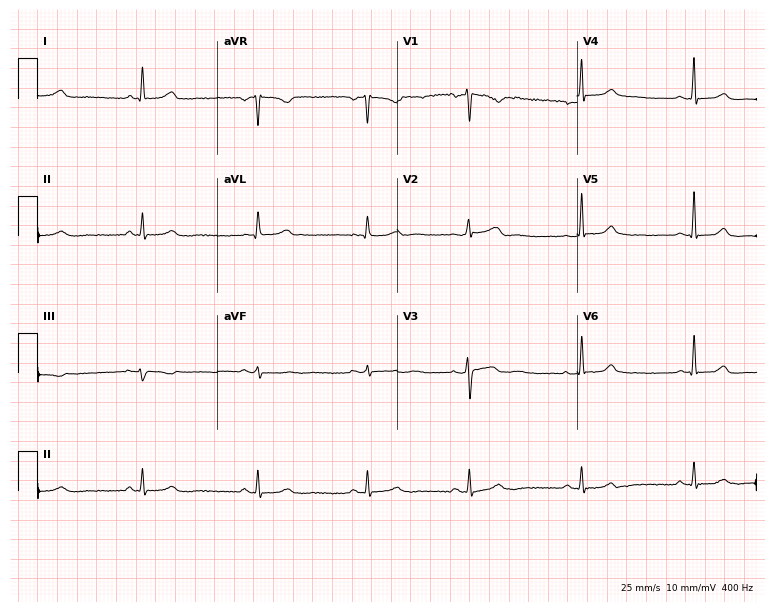
ECG (7.3-second recording at 400 Hz) — a female, 31 years old. Screened for six findings — first-degree AV block, right bundle branch block, left bundle branch block, sinus bradycardia, atrial fibrillation, sinus tachycardia — none is recorded.